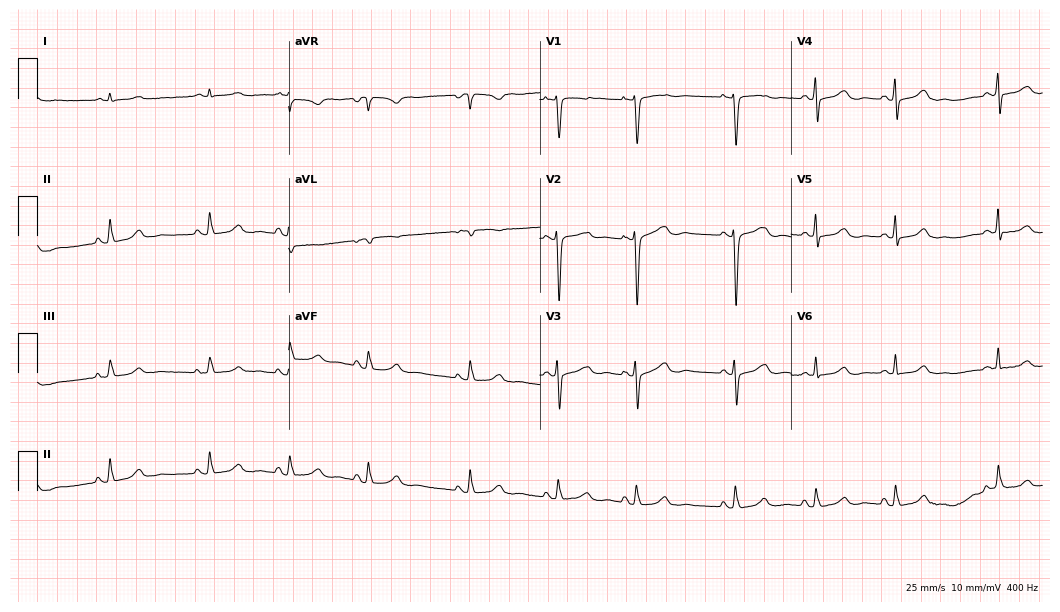
ECG (10.2-second recording at 400 Hz) — a female patient, 44 years old. Labelled as a normal ECG.